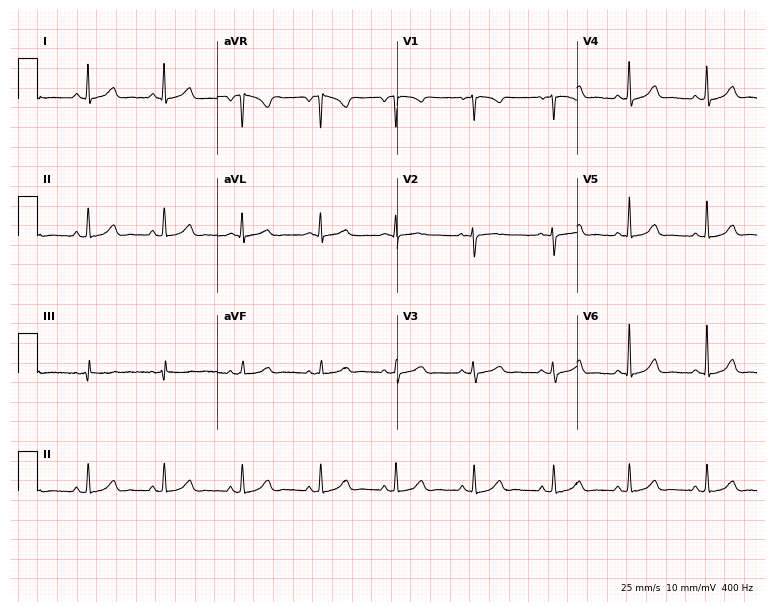
Electrocardiogram (7.3-second recording at 400 Hz), a 37-year-old female patient. Overall reading on record: normal ECG.